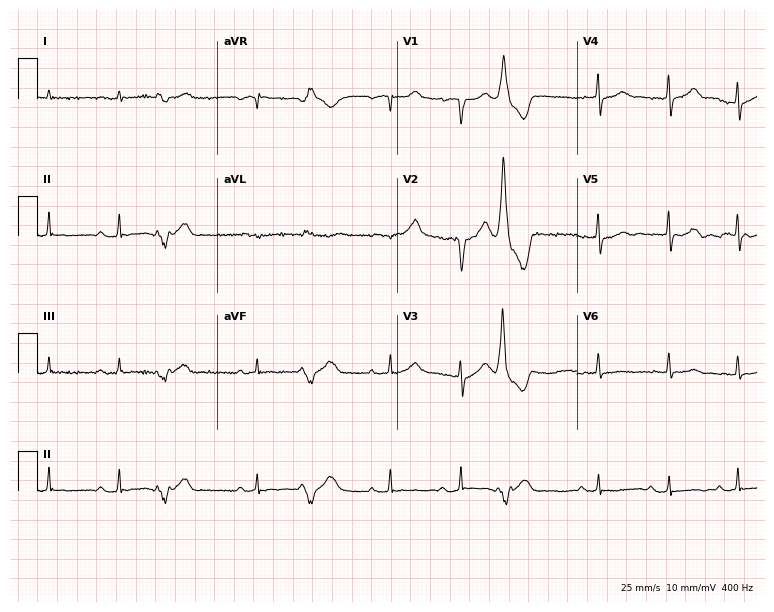
Electrocardiogram (7.3-second recording at 400 Hz), a 75-year-old man. Of the six screened findings (first-degree AV block, right bundle branch block (RBBB), left bundle branch block (LBBB), sinus bradycardia, atrial fibrillation (AF), sinus tachycardia), none is recorded. Only these six findings were labelled.